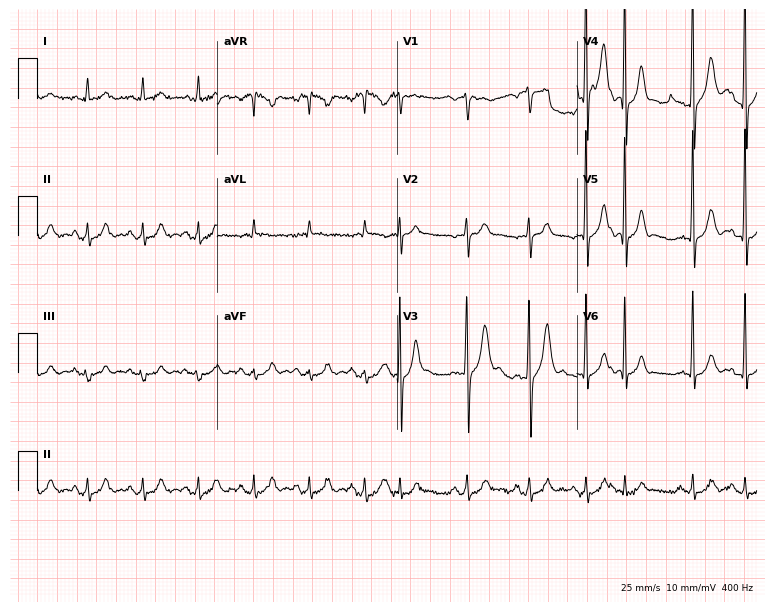
Resting 12-lead electrocardiogram. Patient: a male, 68 years old. The tracing shows sinus tachycardia (a sinus rate of 100 beats per minute or more).